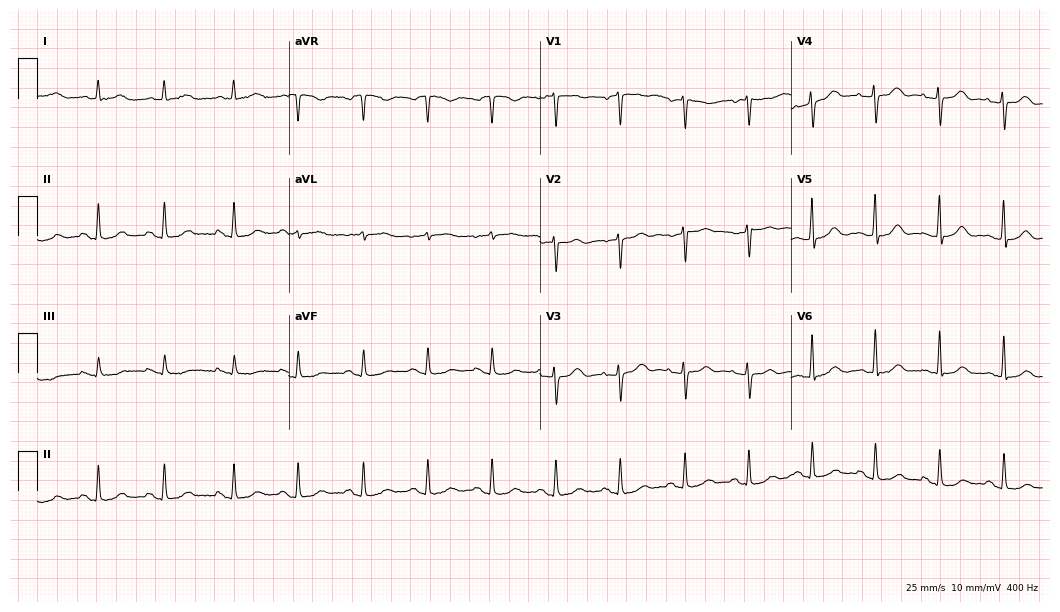
Standard 12-lead ECG recorded from a 72-year-old woman. None of these six findings is recorded: first-degree AV block, right bundle branch block, left bundle branch block, sinus bradycardia, atrial fibrillation, sinus tachycardia. Other findings, if any, are not listed.